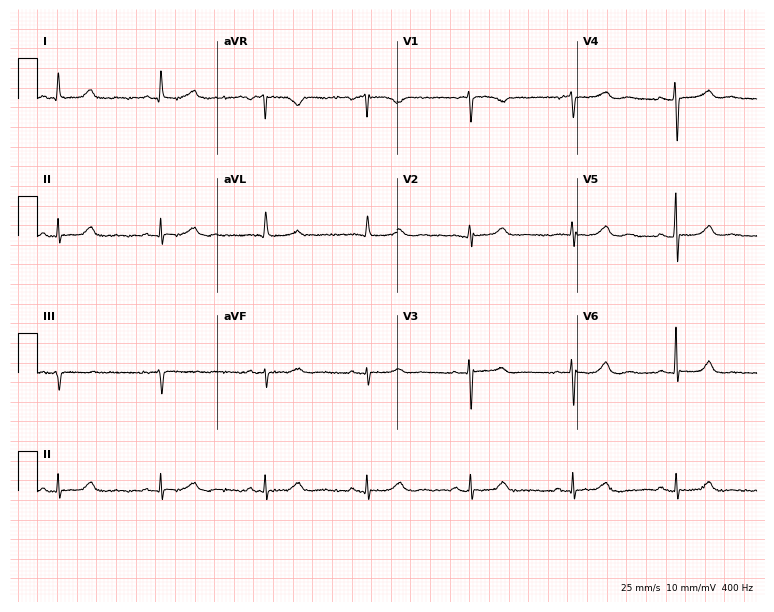
12-lead ECG (7.3-second recording at 400 Hz) from a female, 71 years old. Labelled as a normal ECG.